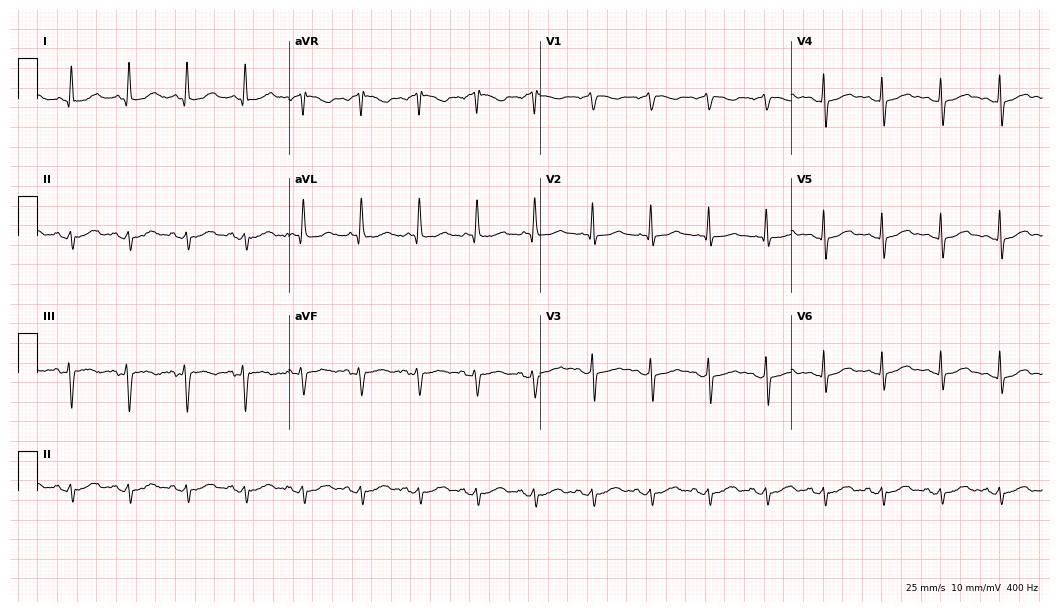
Electrocardiogram (10.2-second recording at 400 Hz), a female, 72 years old. Interpretation includes sinus tachycardia (a sinus rate of 100 beats per minute or more).